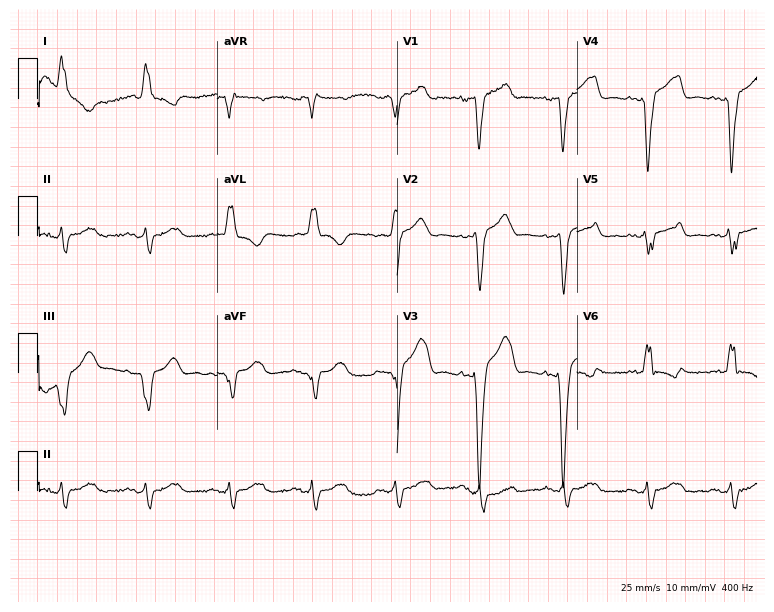
Electrocardiogram (7.3-second recording at 400 Hz), an 80-year-old male patient. Interpretation includes left bundle branch block (LBBB).